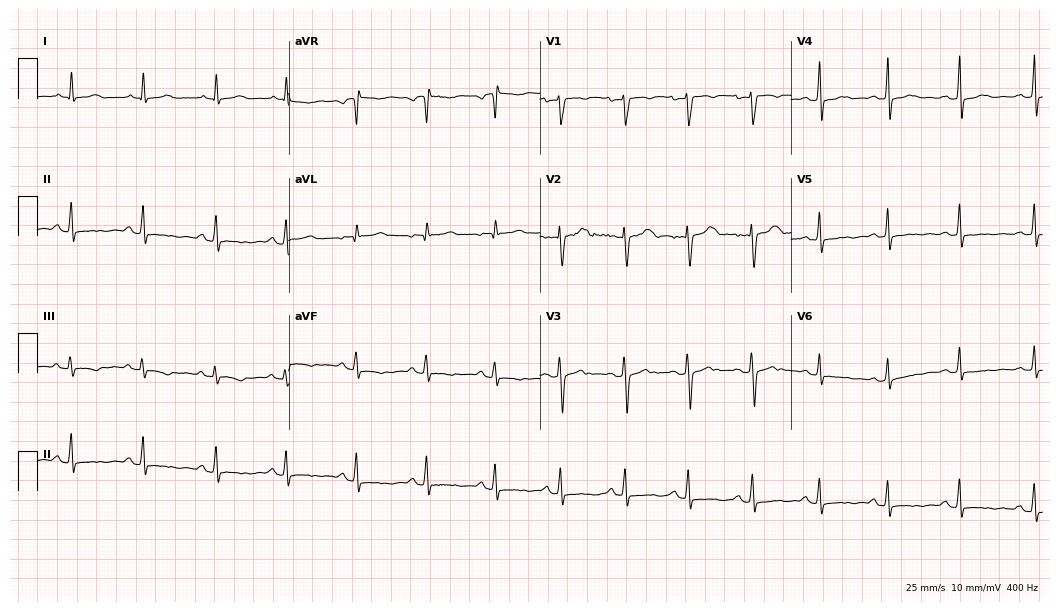
Resting 12-lead electrocardiogram (10.2-second recording at 400 Hz). Patient: a female, 32 years old. None of these six findings is recorded: first-degree AV block, right bundle branch block, left bundle branch block, sinus bradycardia, atrial fibrillation, sinus tachycardia.